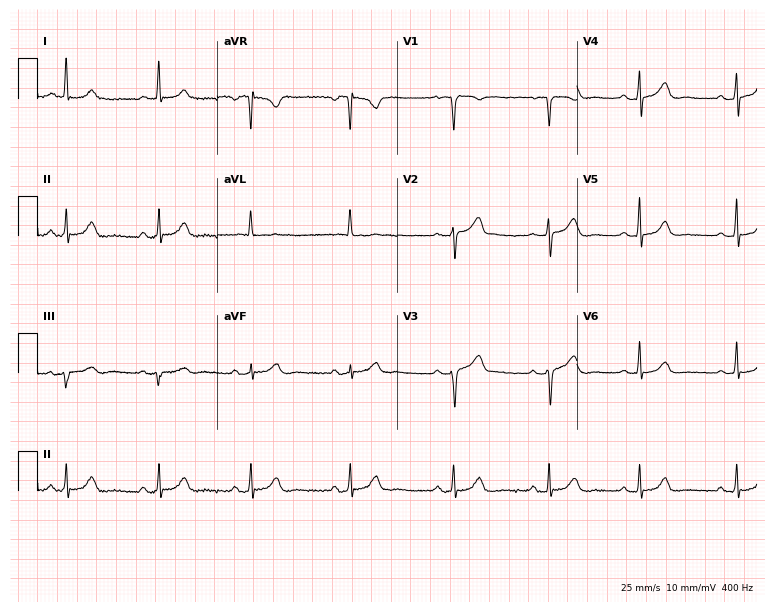
Electrocardiogram, a female patient, 61 years old. Overall reading on record: normal ECG.